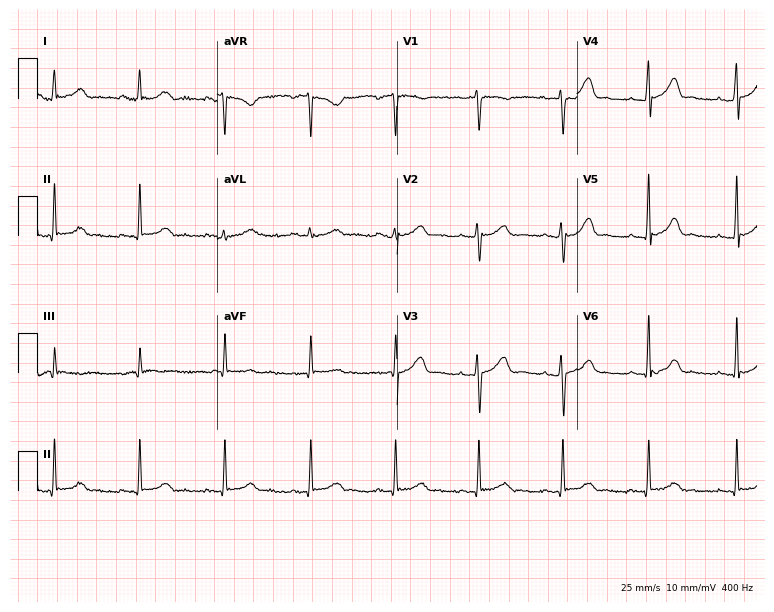
ECG (7.3-second recording at 400 Hz) — a 30-year-old female. Labelled as a normal ECG.